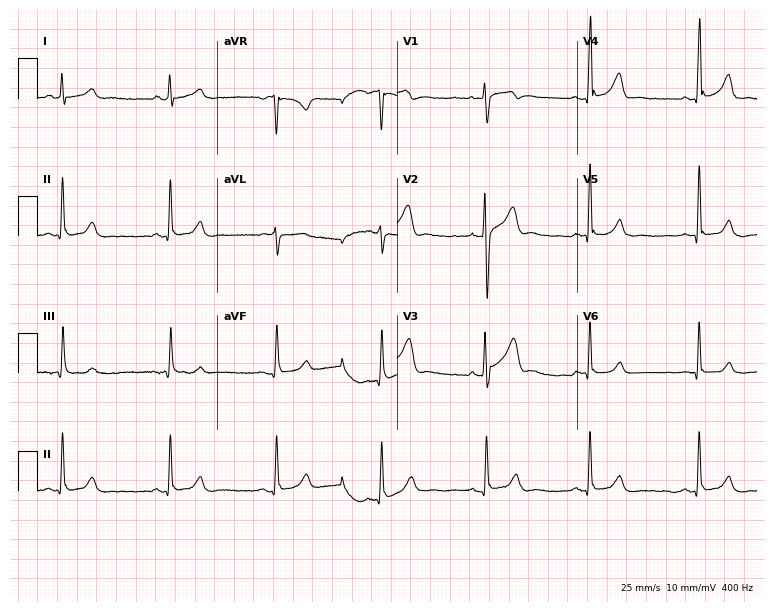
Standard 12-lead ECG recorded from a 38-year-old man (7.3-second recording at 400 Hz). Read as a normal ECG.